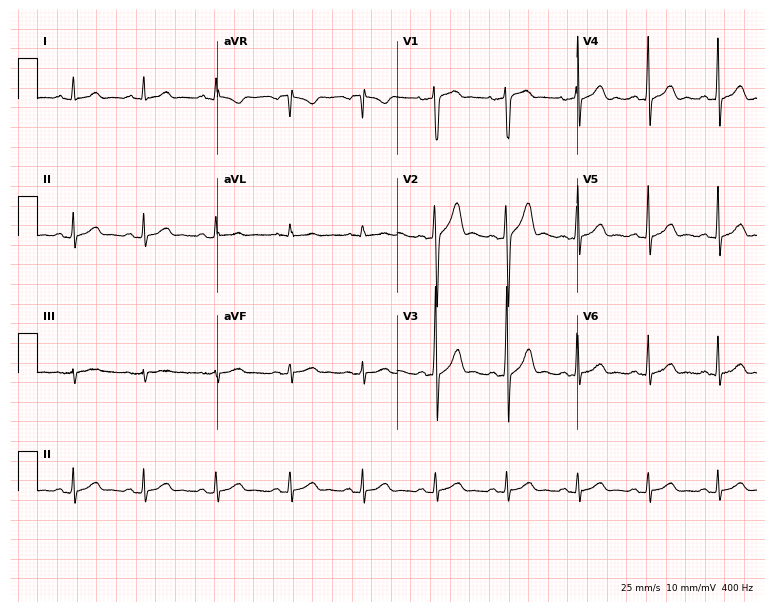
12-lead ECG (7.3-second recording at 400 Hz) from a male, 28 years old. Screened for six findings — first-degree AV block, right bundle branch block, left bundle branch block, sinus bradycardia, atrial fibrillation, sinus tachycardia — none is recorded. Other findings, if any, are not listed.